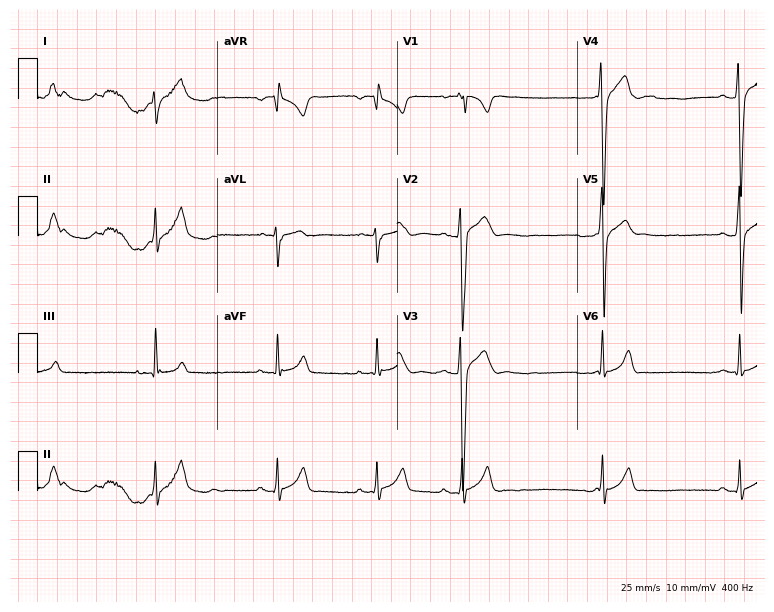
12-lead ECG from a male, 18 years old. No first-degree AV block, right bundle branch block, left bundle branch block, sinus bradycardia, atrial fibrillation or sinus tachycardia recorded for this tracing.